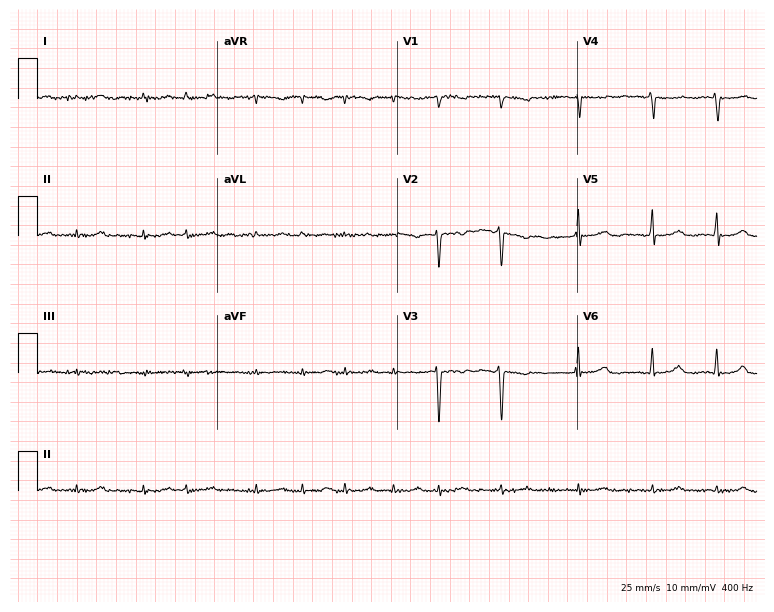
Resting 12-lead electrocardiogram (7.3-second recording at 400 Hz). Patient: a 63-year-old female. None of these six findings is recorded: first-degree AV block, right bundle branch block, left bundle branch block, sinus bradycardia, atrial fibrillation, sinus tachycardia.